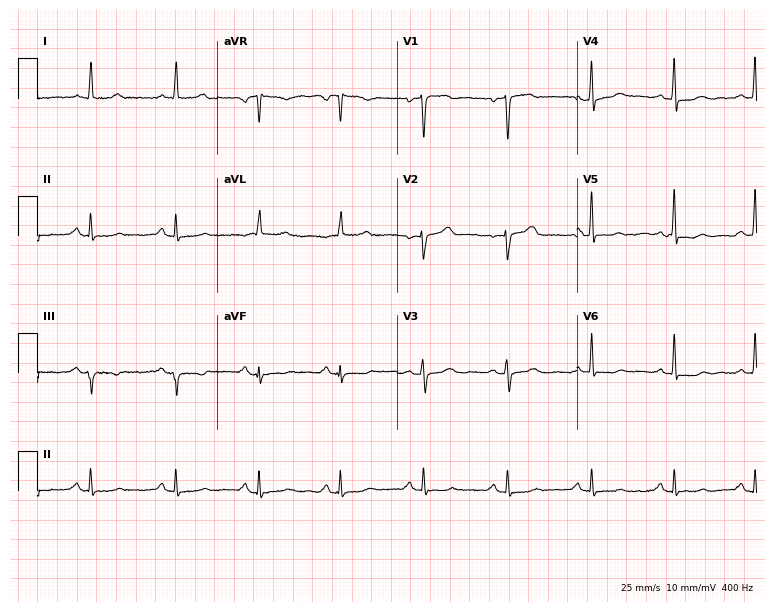
12-lead ECG from a 58-year-old female patient. Screened for six findings — first-degree AV block, right bundle branch block (RBBB), left bundle branch block (LBBB), sinus bradycardia, atrial fibrillation (AF), sinus tachycardia — none is recorded. Findings outside these six are not listed.